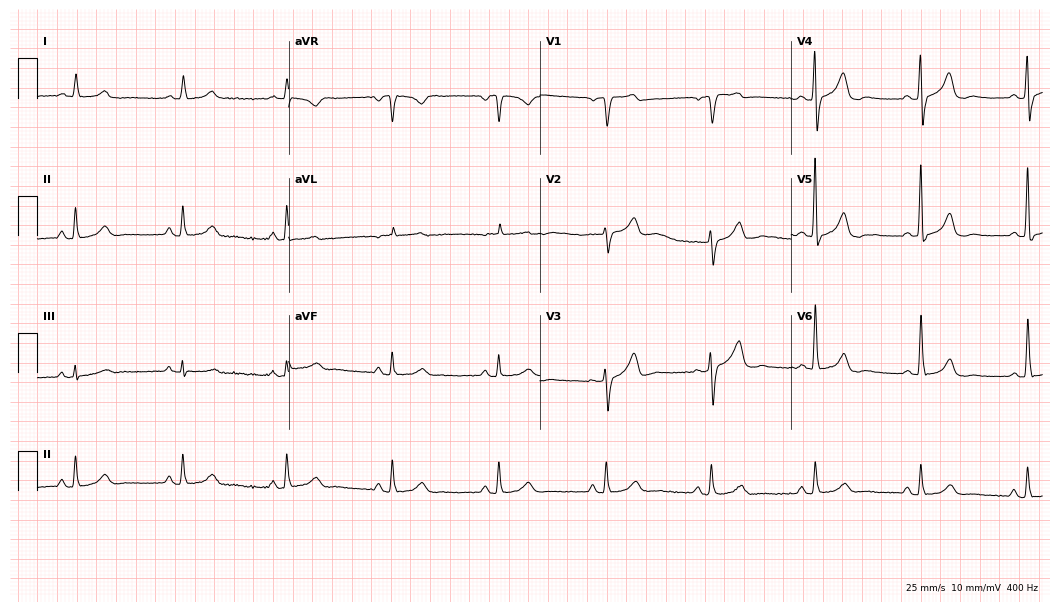
Standard 12-lead ECG recorded from a 78-year-old man. None of these six findings is recorded: first-degree AV block, right bundle branch block (RBBB), left bundle branch block (LBBB), sinus bradycardia, atrial fibrillation (AF), sinus tachycardia. Only these six findings were labelled.